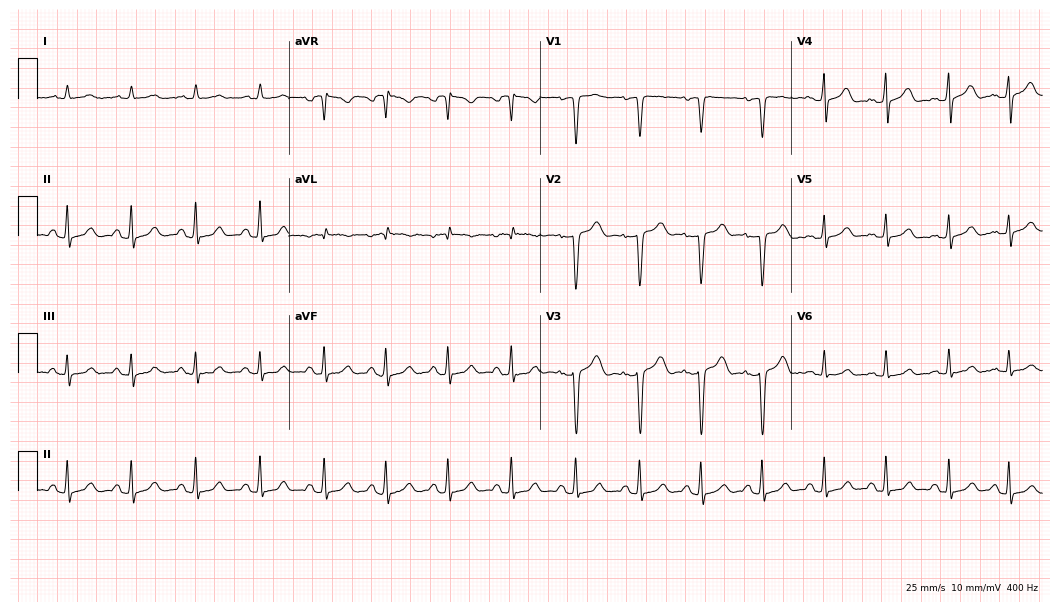
12-lead ECG from a woman, 38 years old. Screened for six findings — first-degree AV block, right bundle branch block (RBBB), left bundle branch block (LBBB), sinus bradycardia, atrial fibrillation (AF), sinus tachycardia — none is recorded. Only these six findings were labelled.